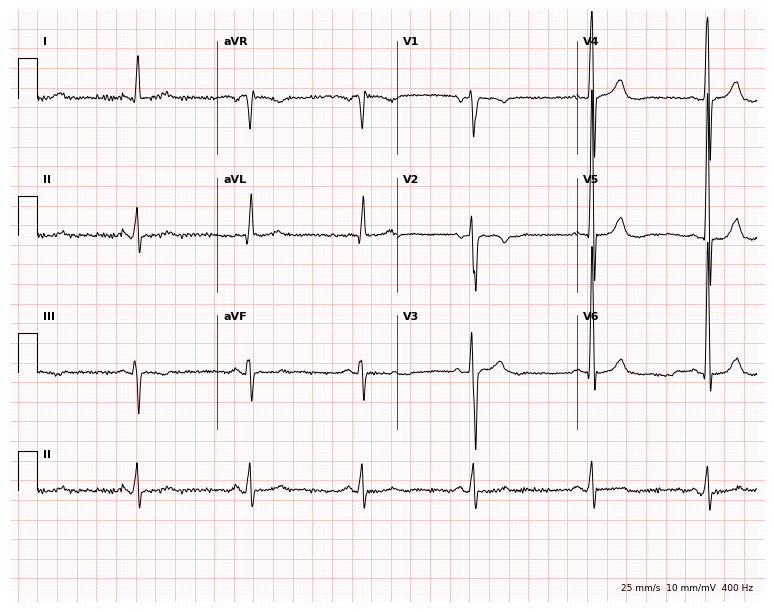
Electrocardiogram, a 60-year-old man. Interpretation includes sinus bradycardia (a sinus rate of 50 beats per minute or less).